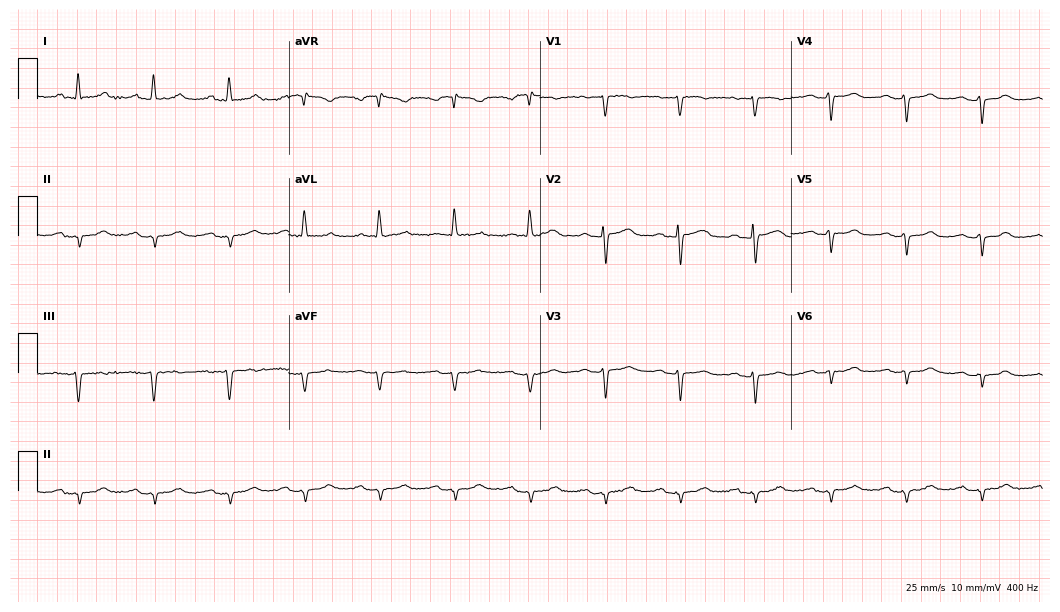
Electrocardiogram, a woman, 75 years old. Of the six screened findings (first-degree AV block, right bundle branch block, left bundle branch block, sinus bradycardia, atrial fibrillation, sinus tachycardia), none is recorded.